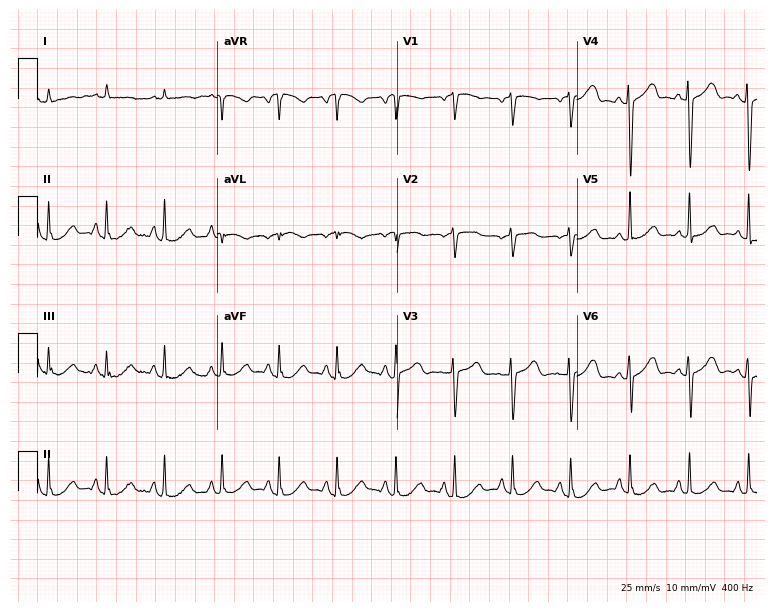
Electrocardiogram (7.3-second recording at 400 Hz), an 80-year-old female. Interpretation includes sinus tachycardia (a sinus rate of 100 beats per minute or more).